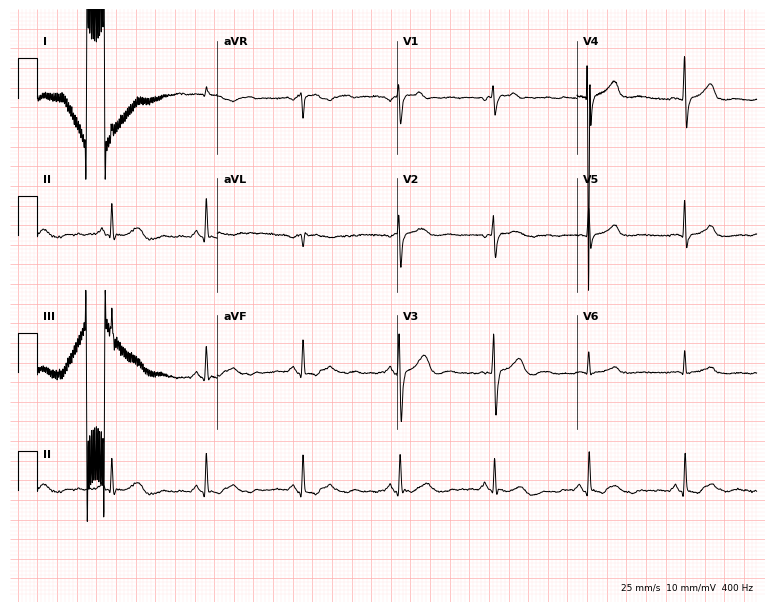
12-lead ECG from a 71-year-old male patient. Screened for six findings — first-degree AV block, right bundle branch block (RBBB), left bundle branch block (LBBB), sinus bradycardia, atrial fibrillation (AF), sinus tachycardia — none is recorded. Only these six findings were labelled.